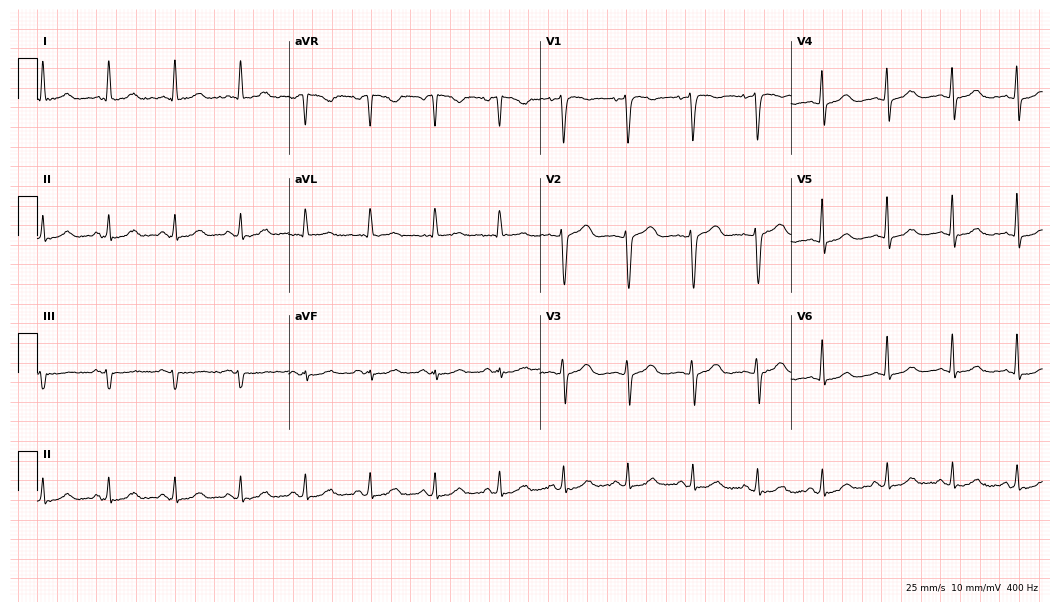
Electrocardiogram (10.2-second recording at 400 Hz), a female patient, 55 years old. Overall reading on record: normal ECG.